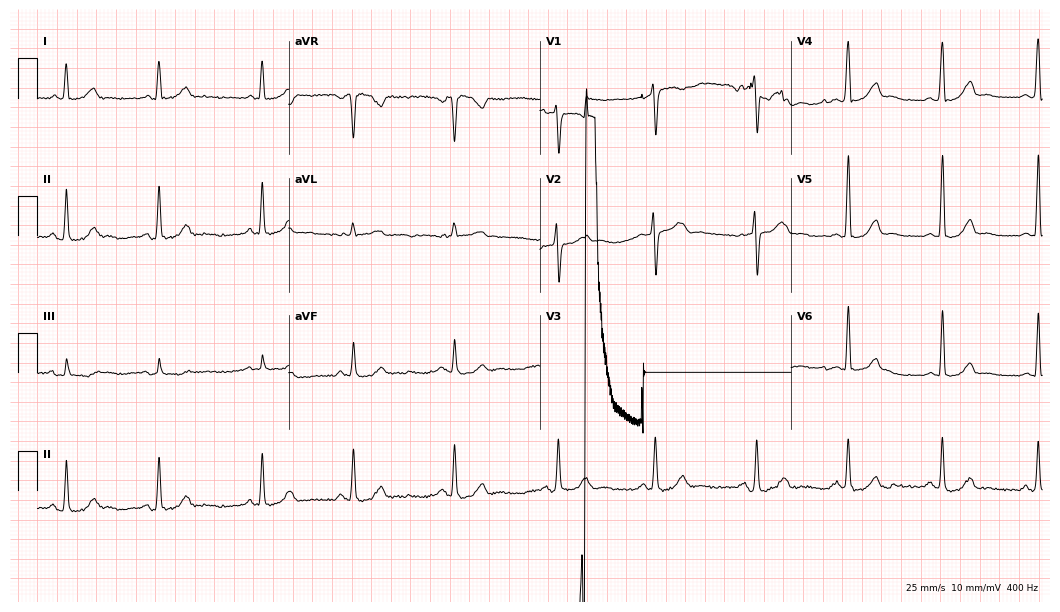
12-lead ECG from a 33-year-old female. No first-degree AV block, right bundle branch block (RBBB), left bundle branch block (LBBB), sinus bradycardia, atrial fibrillation (AF) or sinus tachycardia recorded for this tracing.